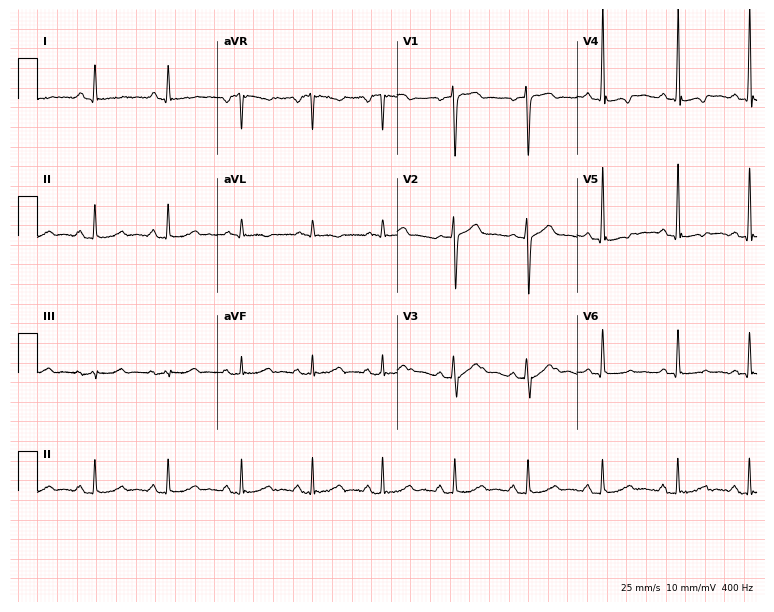
12-lead ECG from a male patient, 43 years old. Screened for six findings — first-degree AV block, right bundle branch block, left bundle branch block, sinus bradycardia, atrial fibrillation, sinus tachycardia — none is recorded. Only these six findings were labelled.